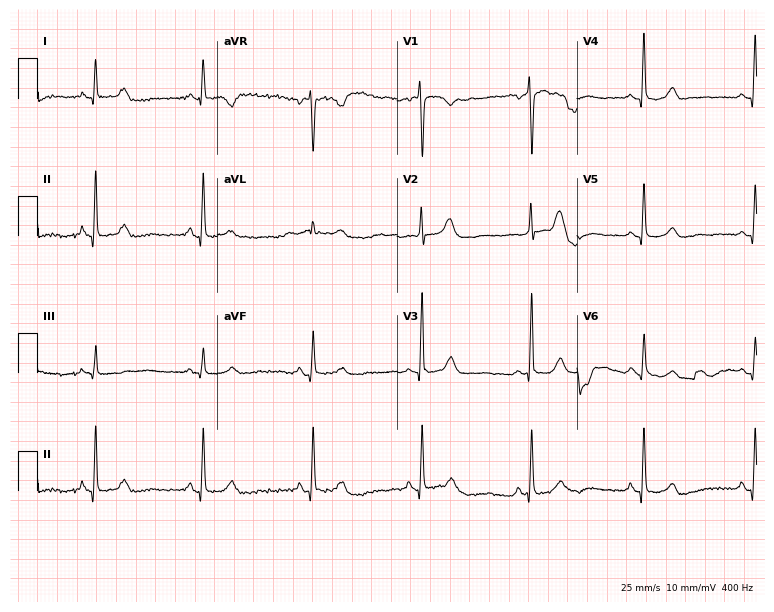
Electrocardiogram, an 80-year-old female patient. Of the six screened findings (first-degree AV block, right bundle branch block, left bundle branch block, sinus bradycardia, atrial fibrillation, sinus tachycardia), none is recorded. Findings outside these six are not listed.